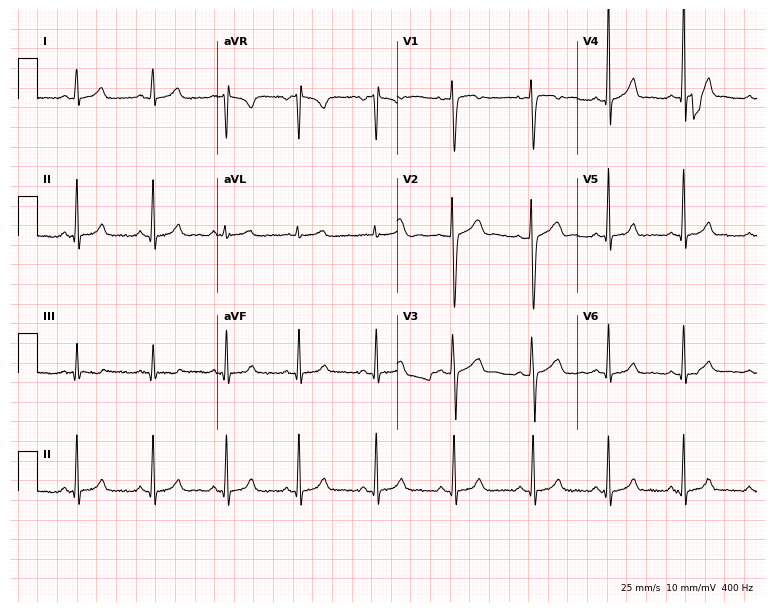
ECG — a female, 32 years old. Labelled as a normal ECG.